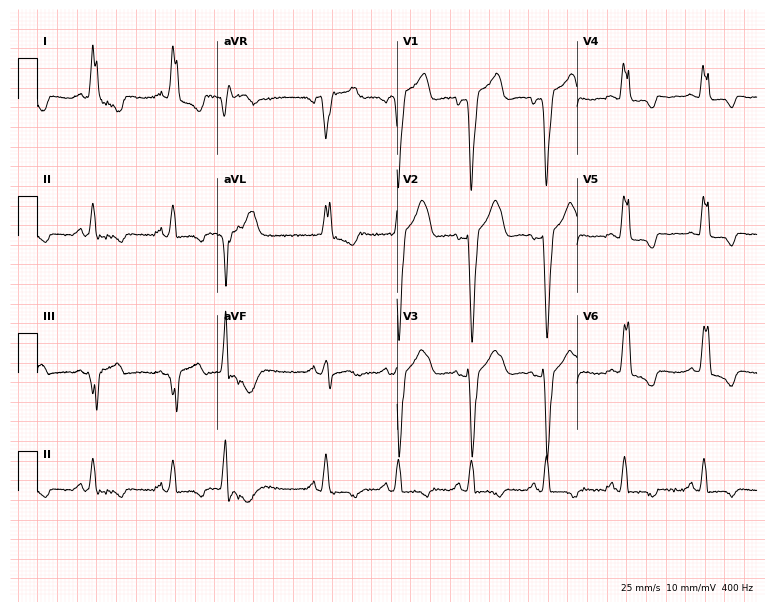
Standard 12-lead ECG recorded from a woman, 80 years old (7.3-second recording at 400 Hz). The tracing shows left bundle branch block (LBBB).